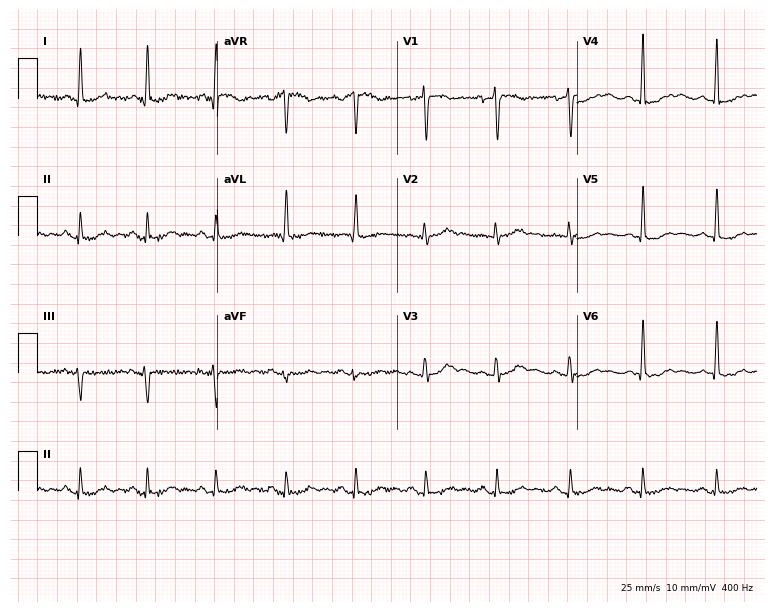
Resting 12-lead electrocardiogram. Patient: a 61-year-old woman. None of these six findings is recorded: first-degree AV block, right bundle branch block, left bundle branch block, sinus bradycardia, atrial fibrillation, sinus tachycardia.